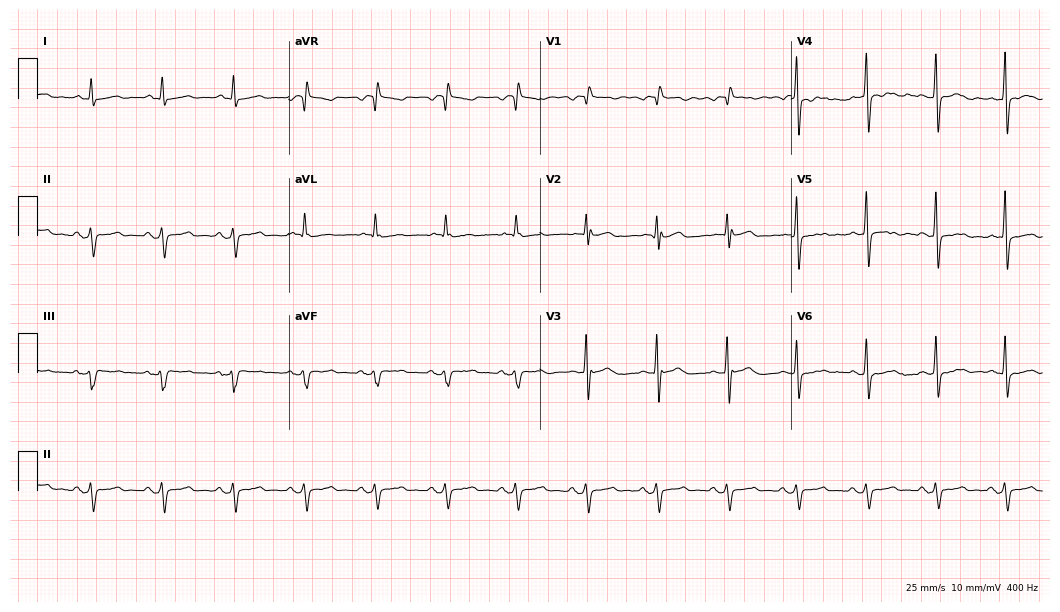
Electrocardiogram (10.2-second recording at 400 Hz), a 65-year-old man. Of the six screened findings (first-degree AV block, right bundle branch block, left bundle branch block, sinus bradycardia, atrial fibrillation, sinus tachycardia), none is recorded.